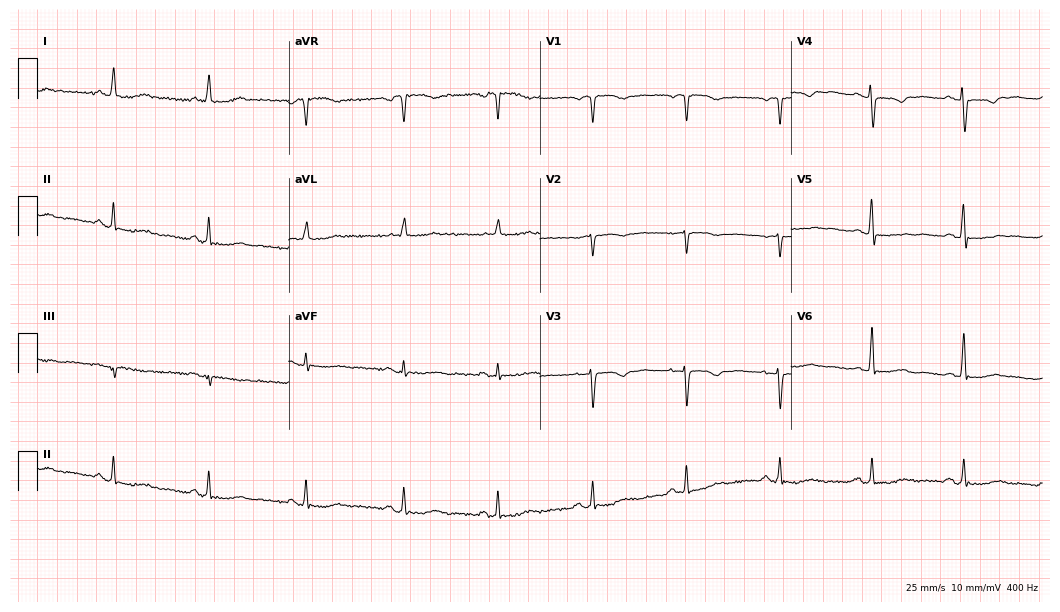
Standard 12-lead ECG recorded from a 62-year-old female patient (10.2-second recording at 400 Hz). None of these six findings is recorded: first-degree AV block, right bundle branch block (RBBB), left bundle branch block (LBBB), sinus bradycardia, atrial fibrillation (AF), sinus tachycardia.